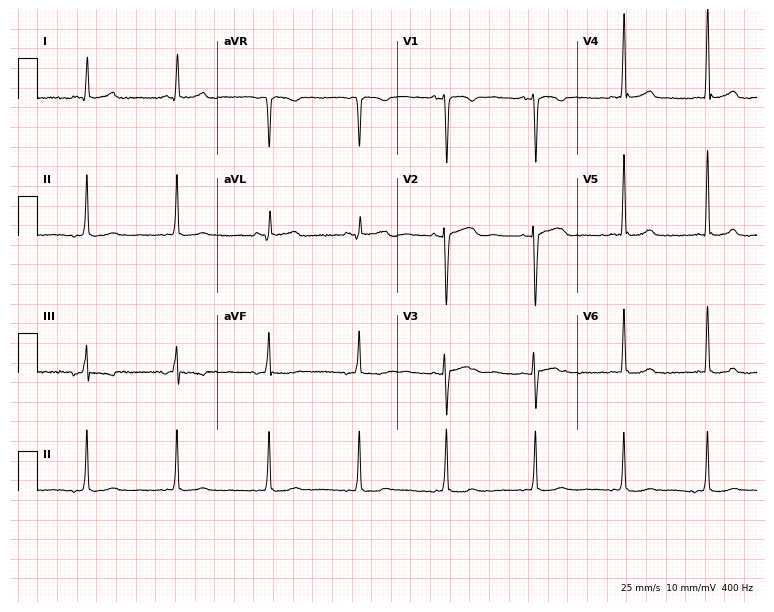
12-lead ECG (7.3-second recording at 400 Hz) from a female patient, 30 years old. Screened for six findings — first-degree AV block, right bundle branch block (RBBB), left bundle branch block (LBBB), sinus bradycardia, atrial fibrillation (AF), sinus tachycardia — none is recorded.